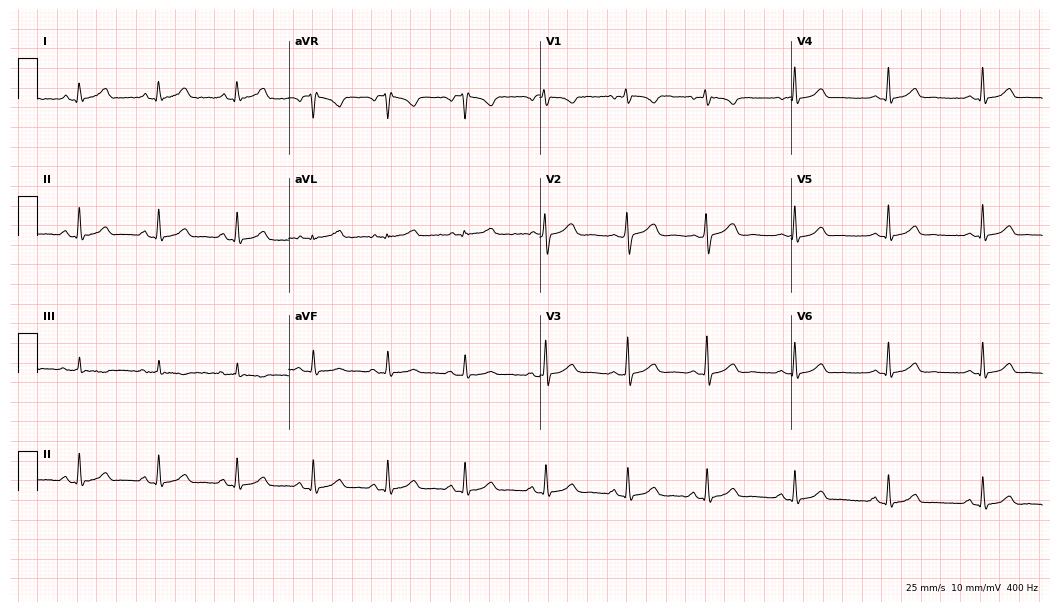
12-lead ECG (10.2-second recording at 400 Hz) from a woman, 21 years old. Labelled as a normal ECG.